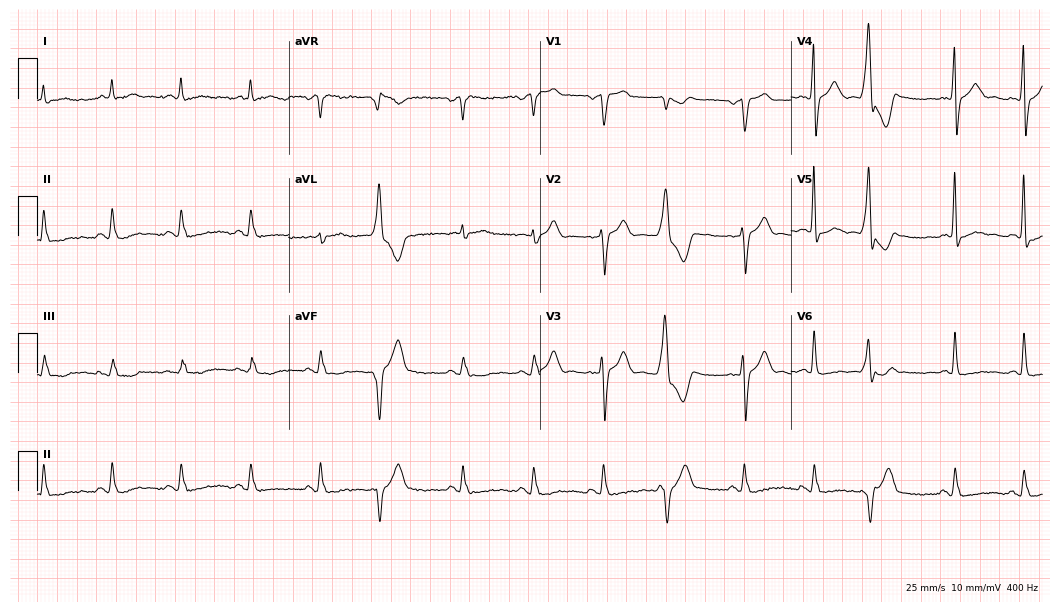
ECG (10.2-second recording at 400 Hz) — a male, 71 years old. Screened for six findings — first-degree AV block, right bundle branch block (RBBB), left bundle branch block (LBBB), sinus bradycardia, atrial fibrillation (AF), sinus tachycardia — none is recorded.